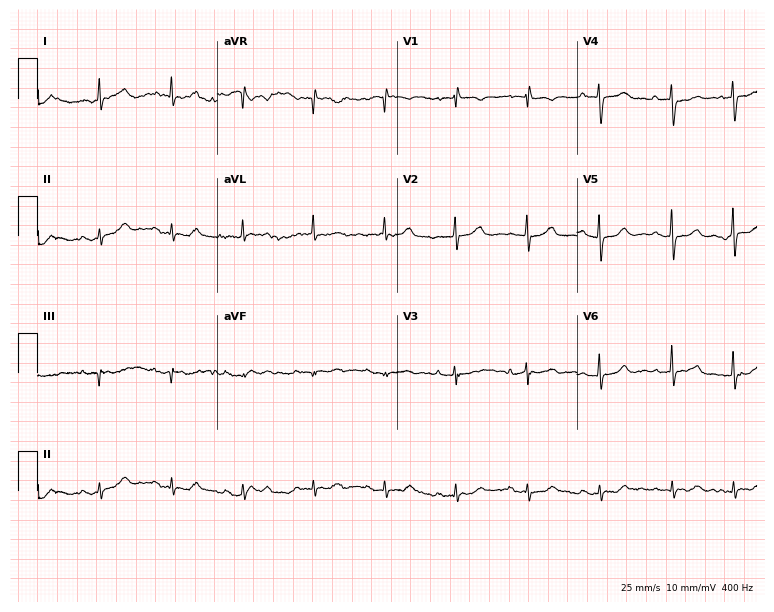
ECG (7.3-second recording at 400 Hz) — a 77-year-old female patient. Screened for six findings — first-degree AV block, right bundle branch block, left bundle branch block, sinus bradycardia, atrial fibrillation, sinus tachycardia — none is recorded. Other findings, if any, are not listed.